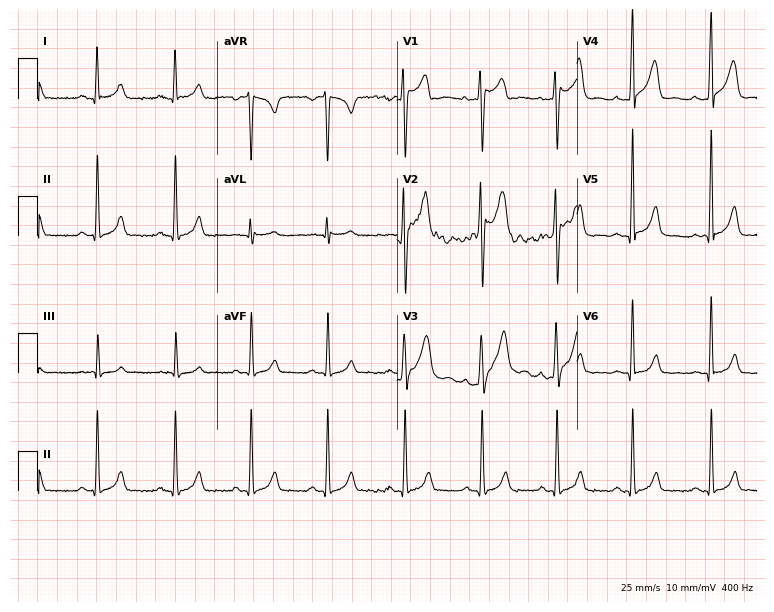
Resting 12-lead electrocardiogram. Patient: a man, 28 years old. Read as a normal ECG.